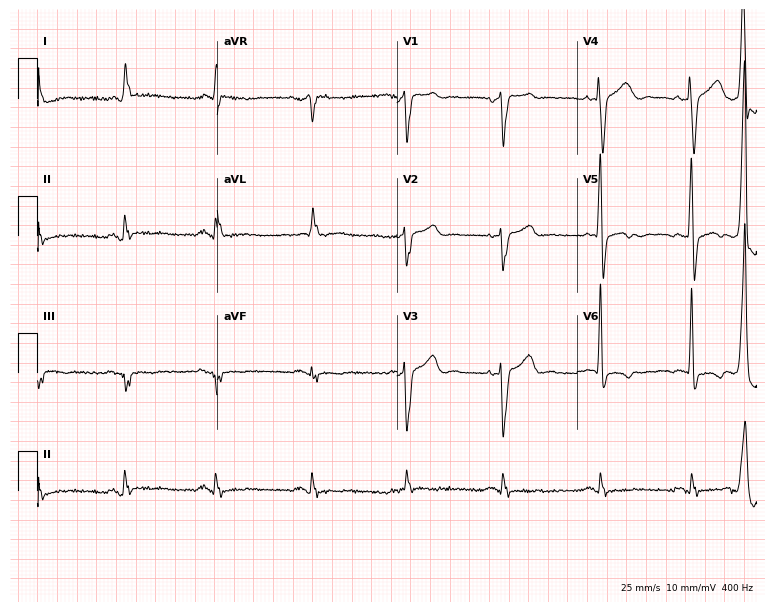
12-lead ECG from a male patient, 78 years old. Screened for six findings — first-degree AV block, right bundle branch block, left bundle branch block, sinus bradycardia, atrial fibrillation, sinus tachycardia — none is recorded.